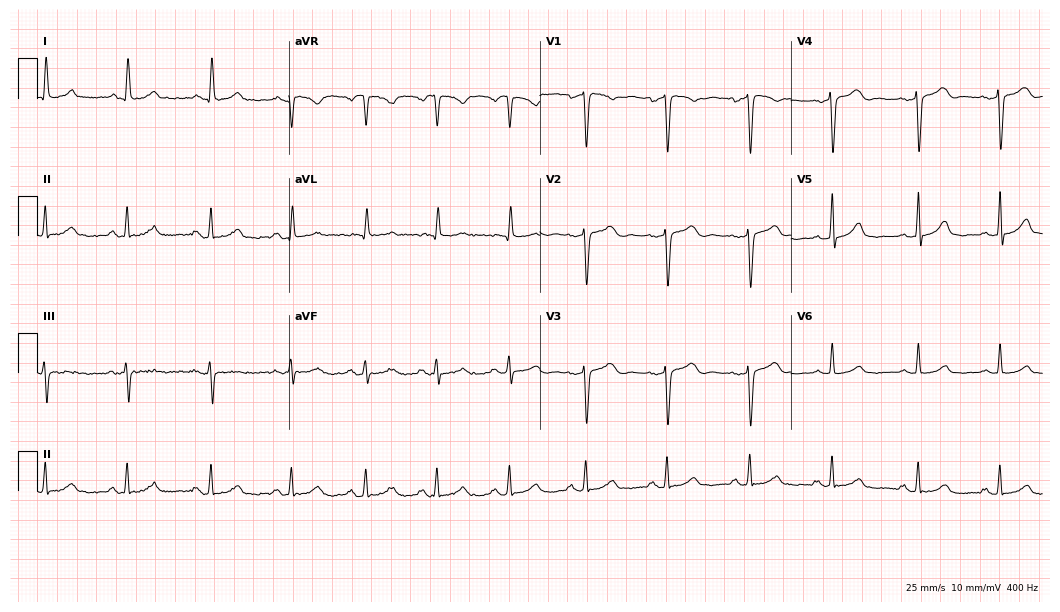
Electrocardiogram, a woman, 41 years old. Overall reading on record: normal ECG.